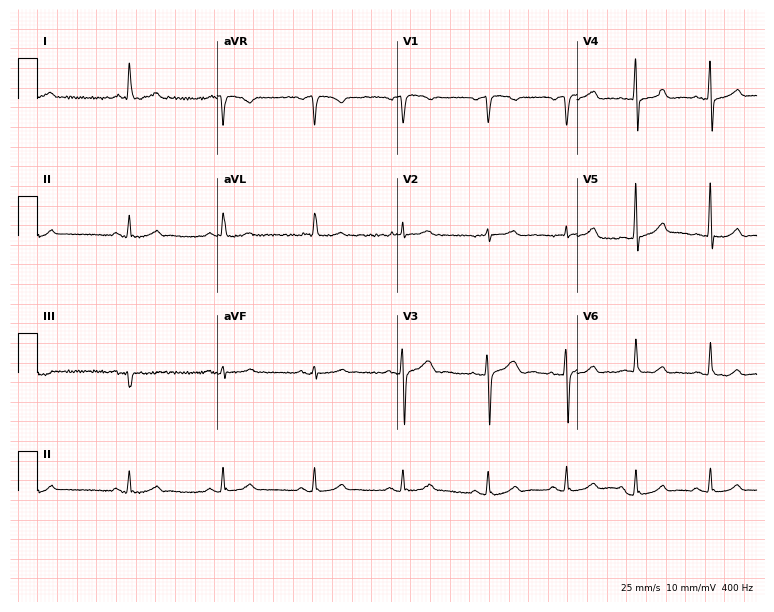
12-lead ECG from a 70-year-old male patient (7.3-second recording at 400 Hz). Recorded interpretation: within normal limits.